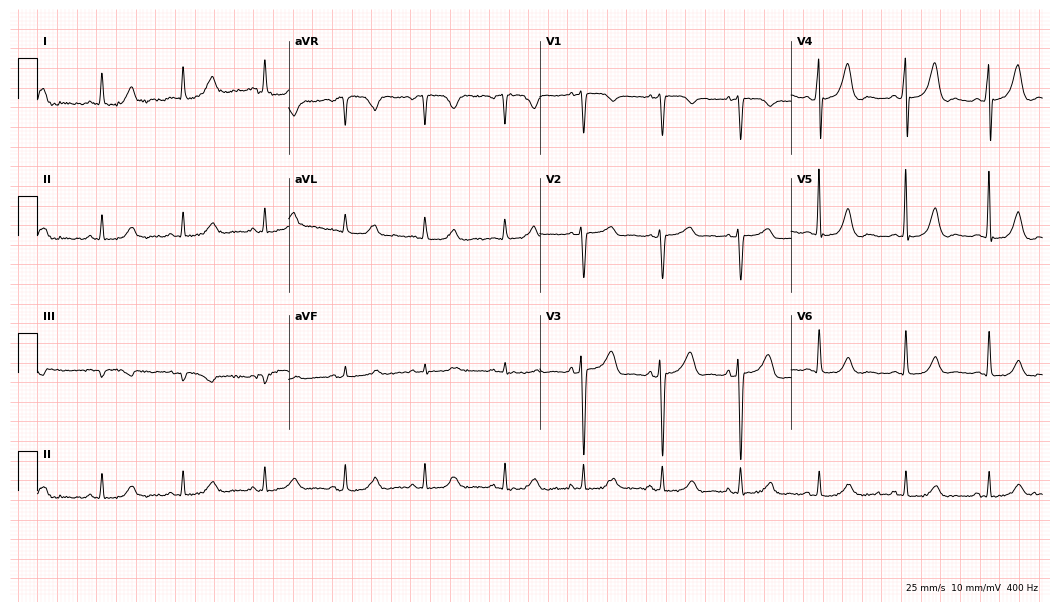
ECG (10.2-second recording at 400 Hz) — a female patient, 76 years old. Labelled as a normal ECG.